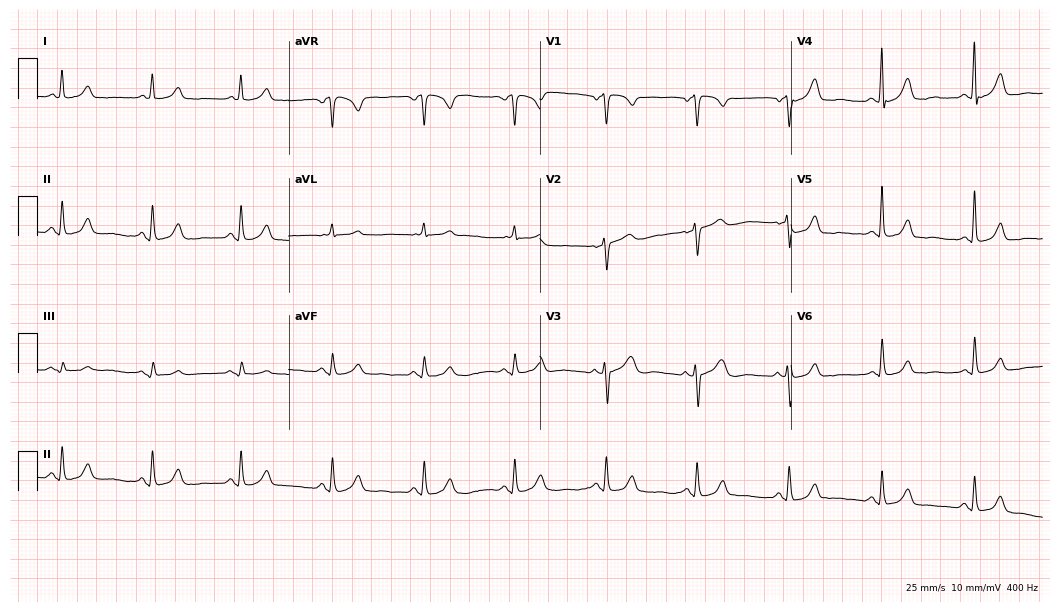
ECG — a woman, 65 years old. Labelled as a normal ECG.